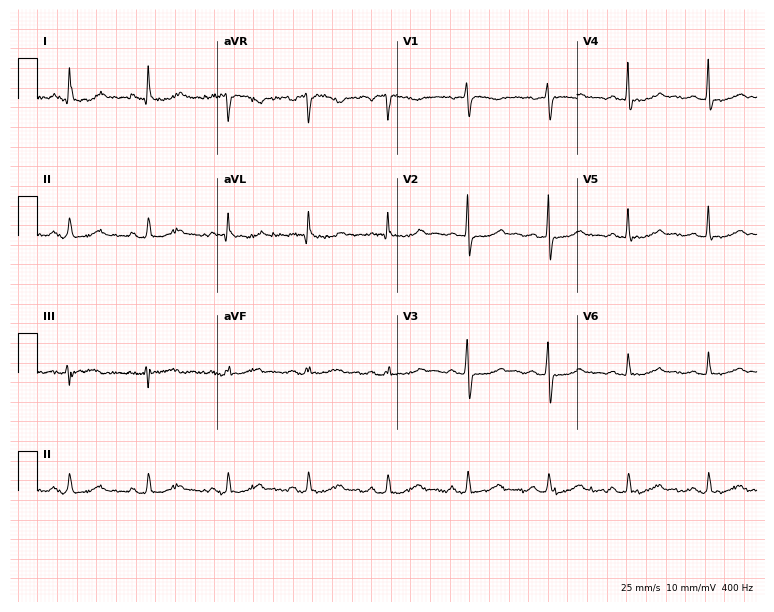
ECG (7.3-second recording at 400 Hz) — a female patient, 65 years old. Screened for six findings — first-degree AV block, right bundle branch block, left bundle branch block, sinus bradycardia, atrial fibrillation, sinus tachycardia — none is recorded.